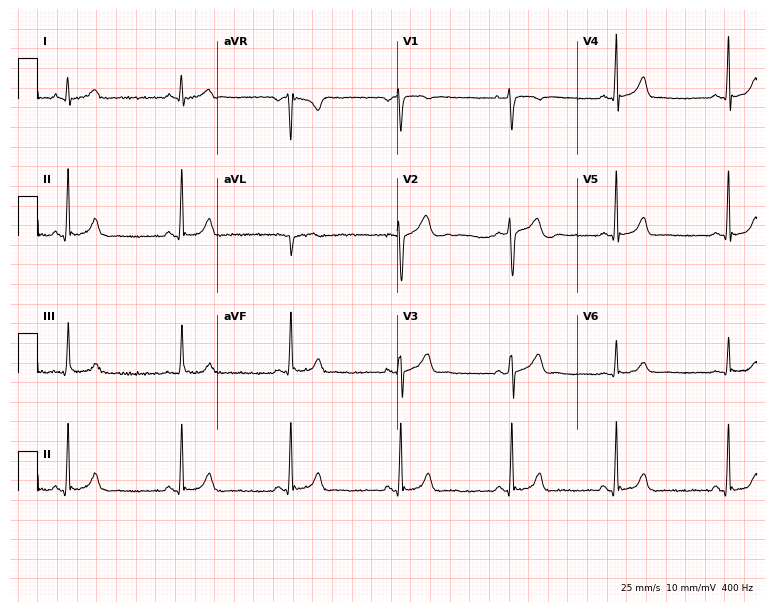
Resting 12-lead electrocardiogram. Patient: a 19-year-old woman. Read as a normal ECG.